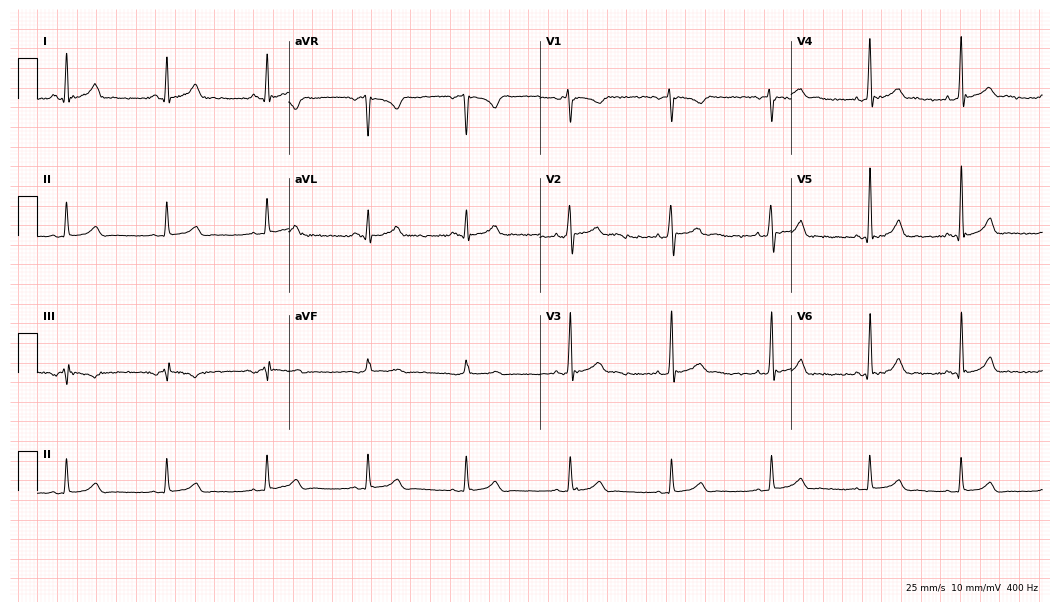
12-lead ECG from a 24-year-old male patient. Recorded interpretation: within normal limits.